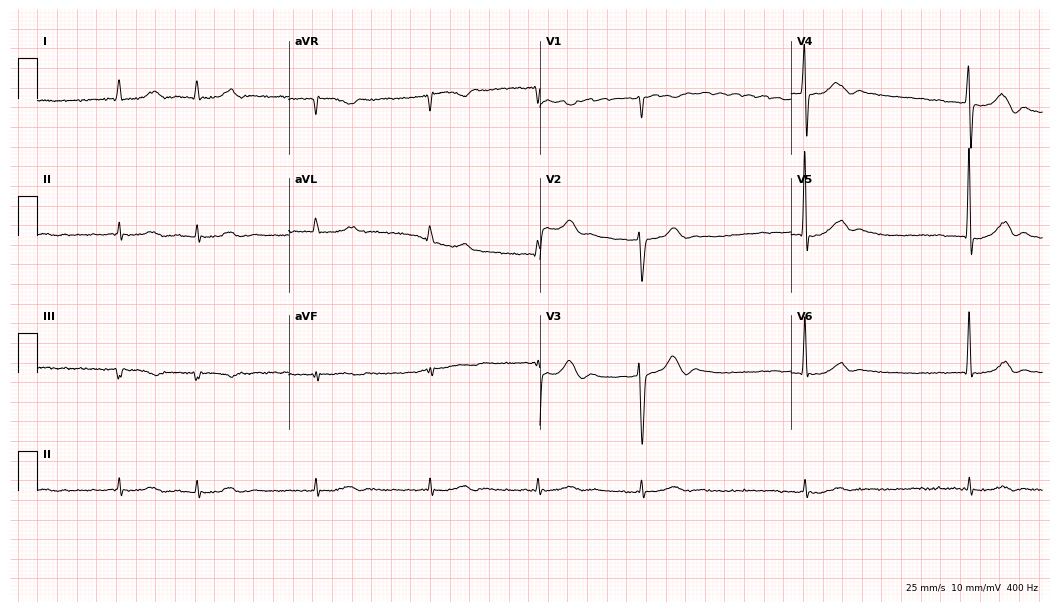
12-lead ECG from a 73-year-old man. Shows atrial fibrillation.